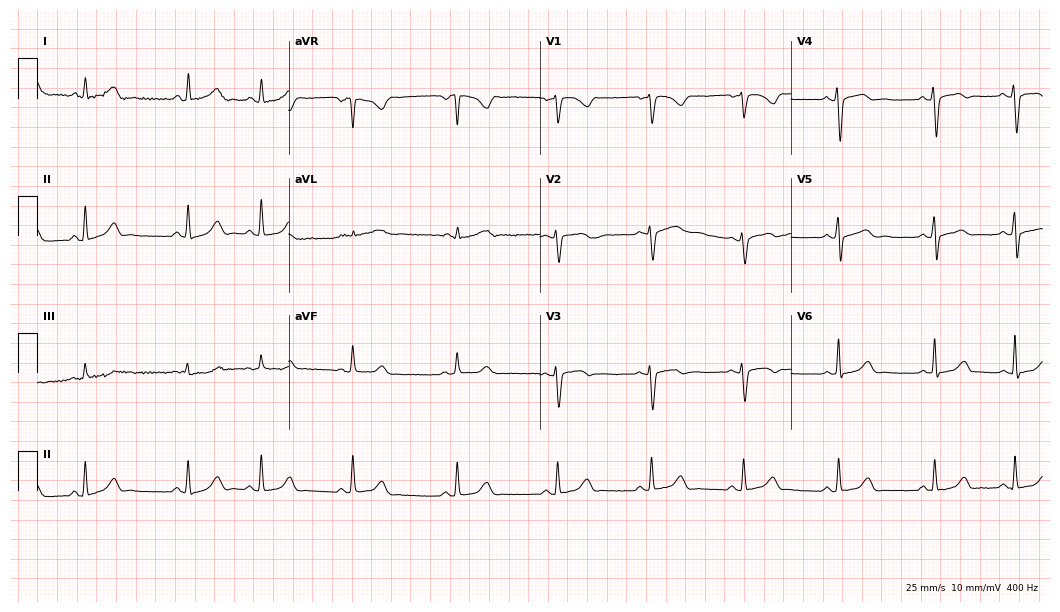
Standard 12-lead ECG recorded from an 18-year-old female patient. Read as a normal ECG.